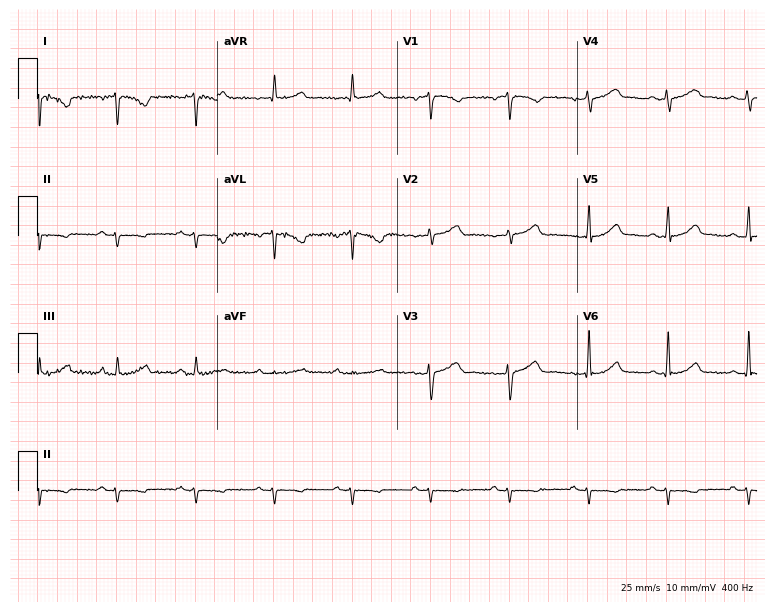
12-lead ECG from a female patient, 55 years old (7.3-second recording at 400 Hz). No first-degree AV block, right bundle branch block (RBBB), left bundle branch block (LBBB), sinus bradycardia, atrial fibrillation (AF) or sinus tachycardia recorded for this tracing. Only these six findings were labelled.